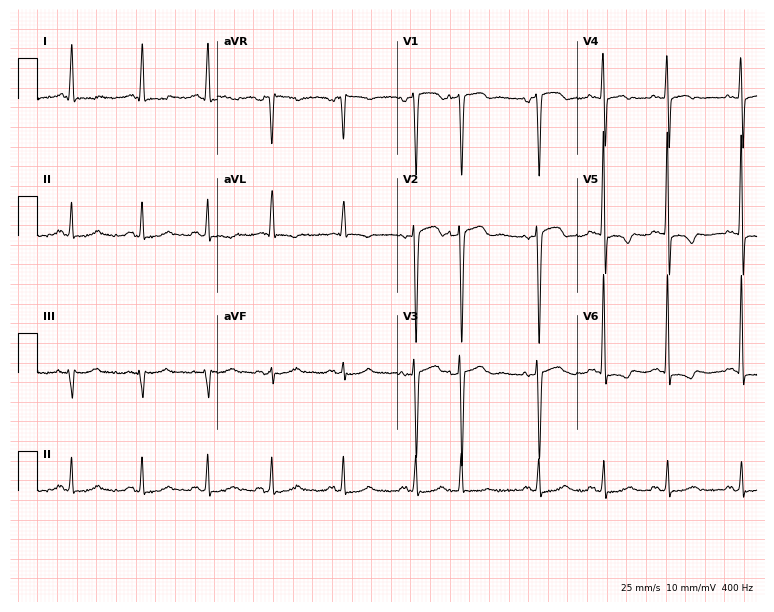
12-lead ECG from a 73-year-old woman. No first-degree AV block, right bundle branch block (RBBB), left bundle branch block (LBBB), sinus bradycardia, atrial fibrillation (AF) or sinus tachycardia recorded for this tracing.